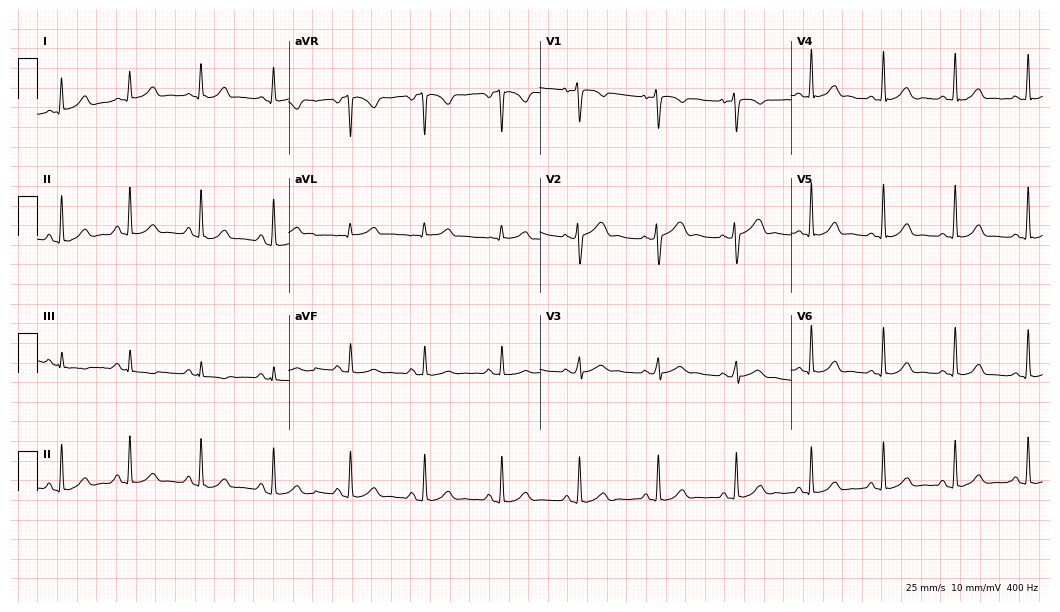
12-lead ECG from a 44-year-old woman (10.2-second recording at 400 Hz). Recorded interpretation: within normal limits.